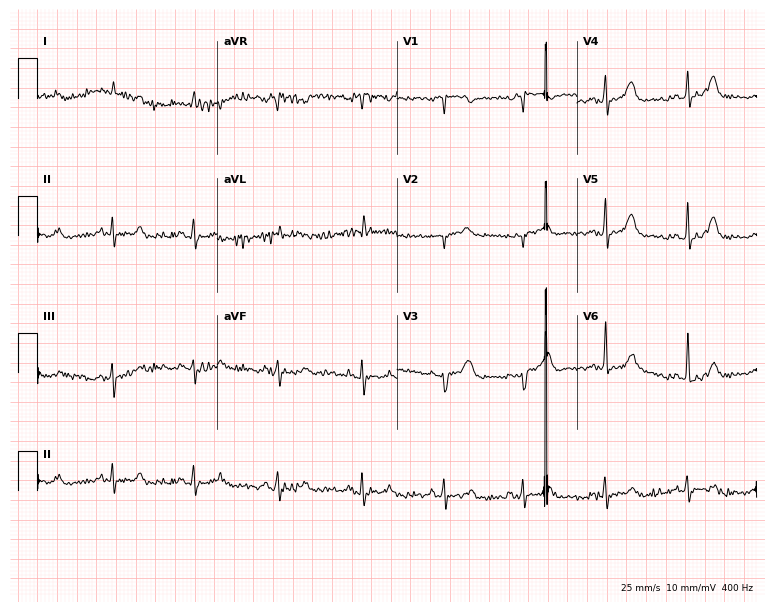
Resting 12-lead electrocardiogram. Patient: a female, 76 years old. None of these six findings is recorded: first-degree AV block, right bundle branch block, left bundle branch block, sinus bradycardia, atrial fibrillation, sinus tachycardia. Only these six findings were labelled.